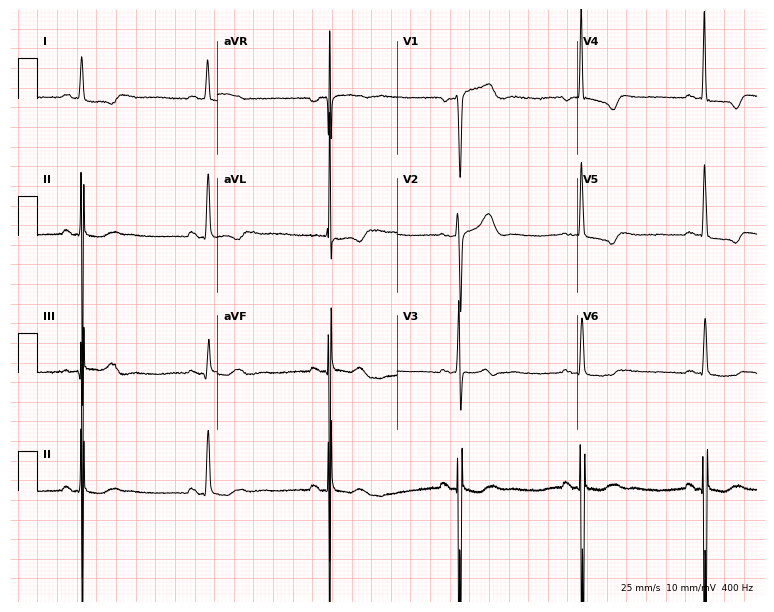
Resting 12-lead electrocardiogram (7.3-second recording at 400 Hz). Patient: a woman, 71 years old. The tracing shows sinus bradycardia (a sinus rate of 50 beats per minute or less).